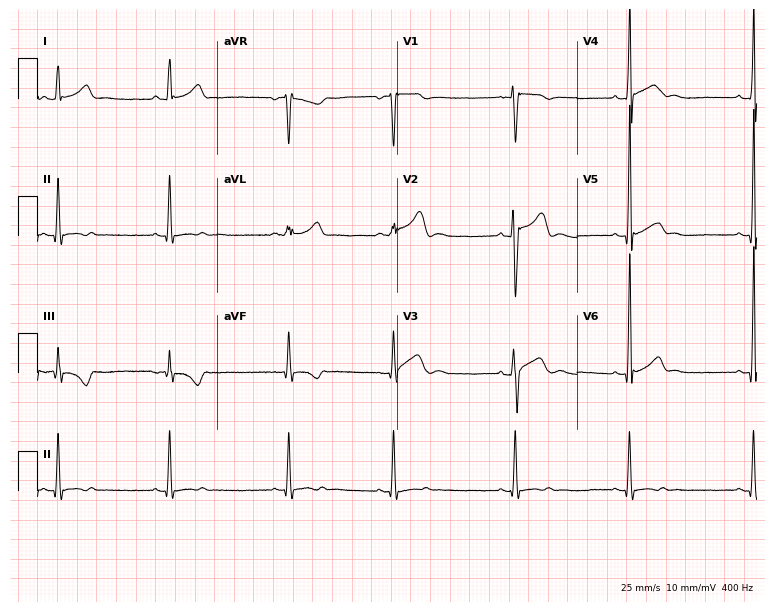
Electrocardiogram (7.3-second recording at 400 Hz), a 22-year-old male. Interpretation includes sinus bradycardia (a sinus rate of 50 beats per minute or less).